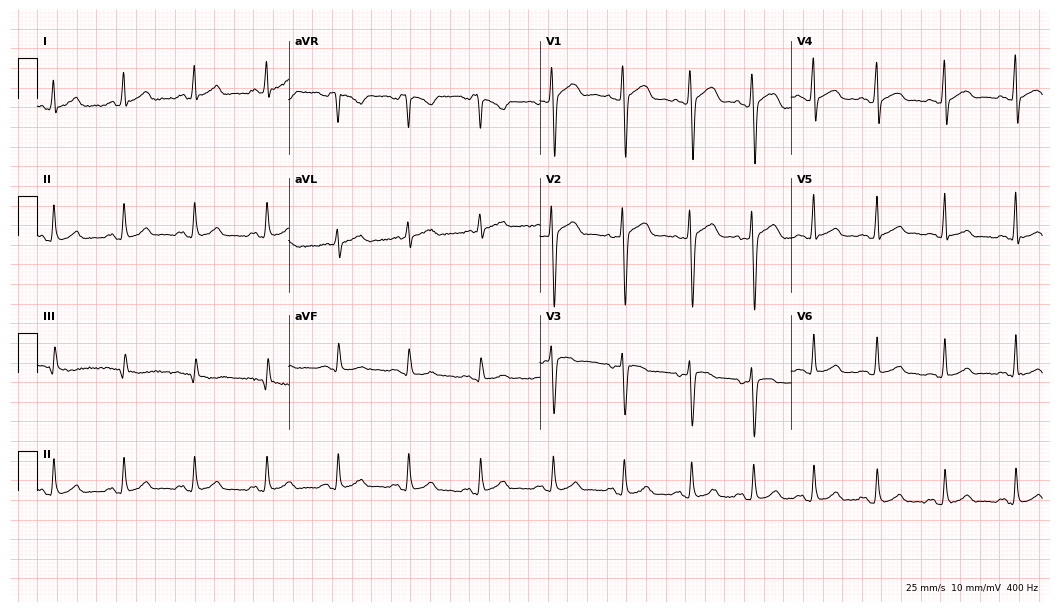
12-lead ECG from a 39-year-old male patient. Labelled as a normal ECG.